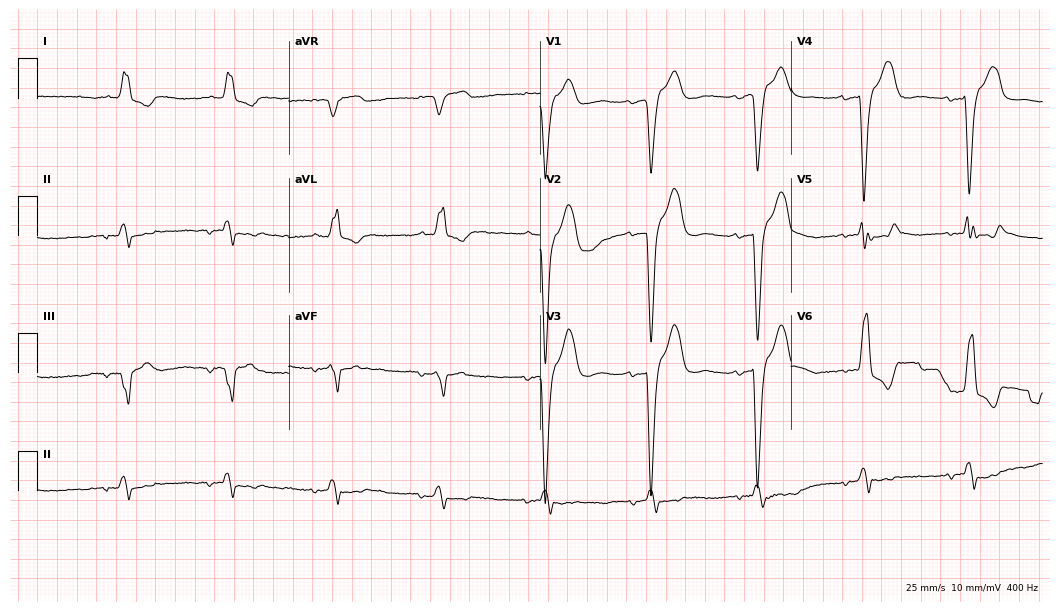
12-lead ECG (10.2-second recording at 400 Hz) from a male, 85 years old. Screened for six findings — first-degree AV block, right bundle branch block, left bundle branch block, sinus bradycardia, atrial fibrillation, sinus tachycardia — none is recorded. Only these six findings were labelled.